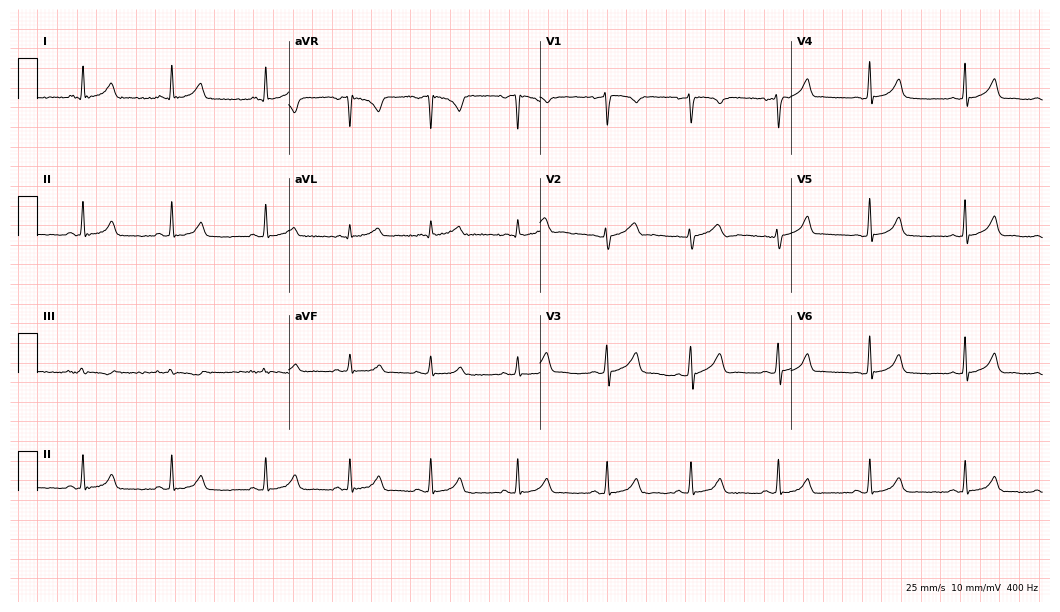
ECG (10.2-second recording at 400 Hz) — a 36-year-old female. Labelled as a normal ECG.